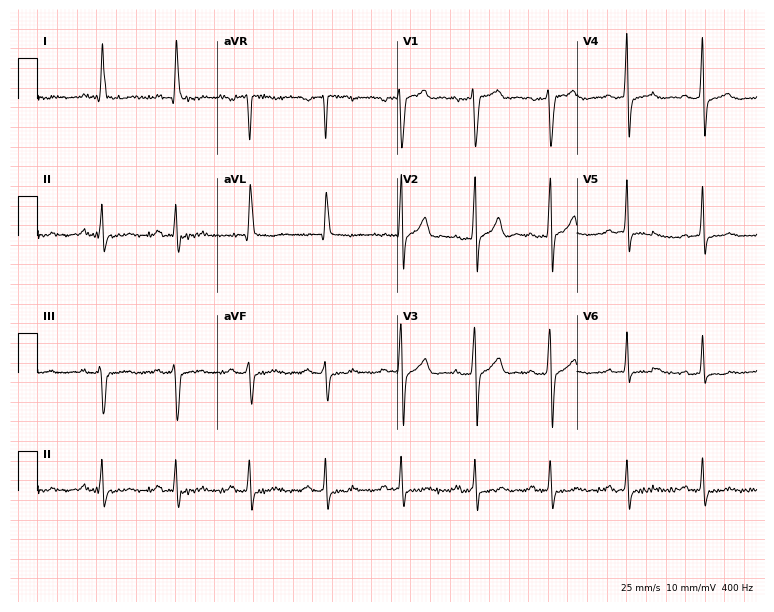
Resting 12-lead electrocardiogram. Patient: a 61-year-old male. Read as a normal ECG.